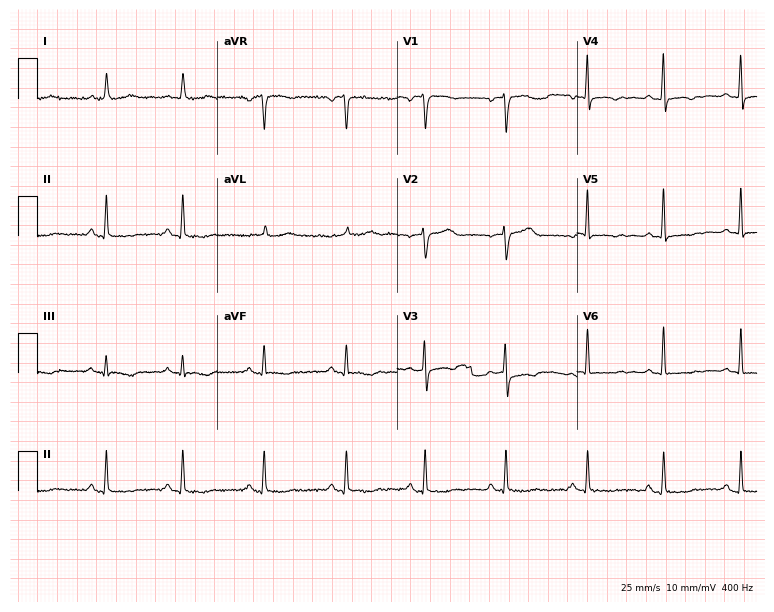
12-lead ECG from a 71-year-old female patient. No first-degree AV block, right bundle branch block, left bundle branch block, sinus bradycardia, atrial fibrillation or sinus tachycardia recorded for this tracing. Findings outside these six are not listed.